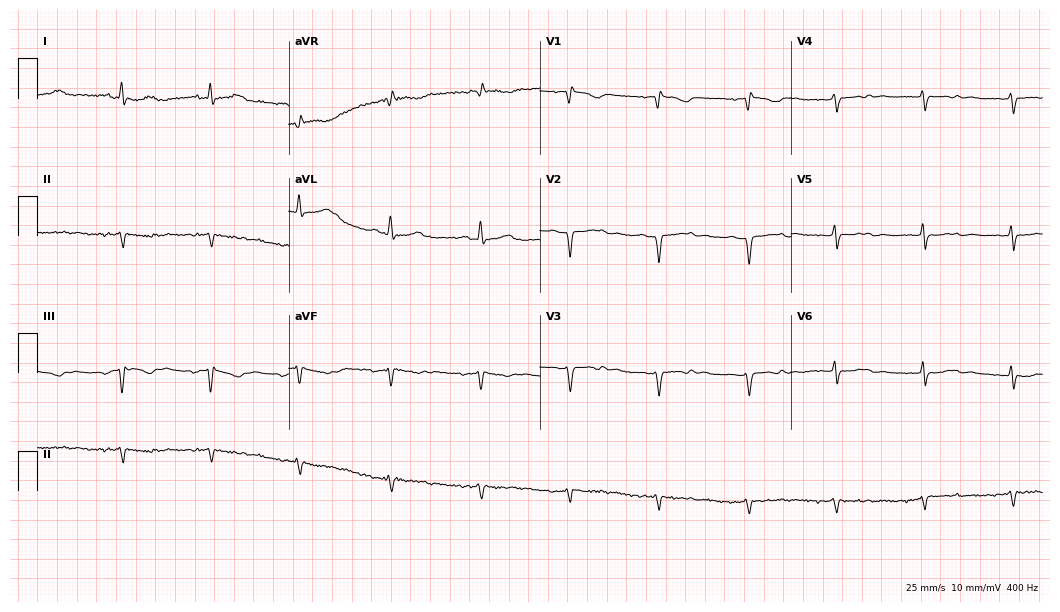
Resting 12-lead electrocardiogram. Patient: a woman, 44 years old. None of these six findings is recorded: first-degree AV block, right bundle branch block (RBBB), left bundle branch block (LBBB), sinus bradycardia, atrial fibrillation (AF), sinus tachycardia.